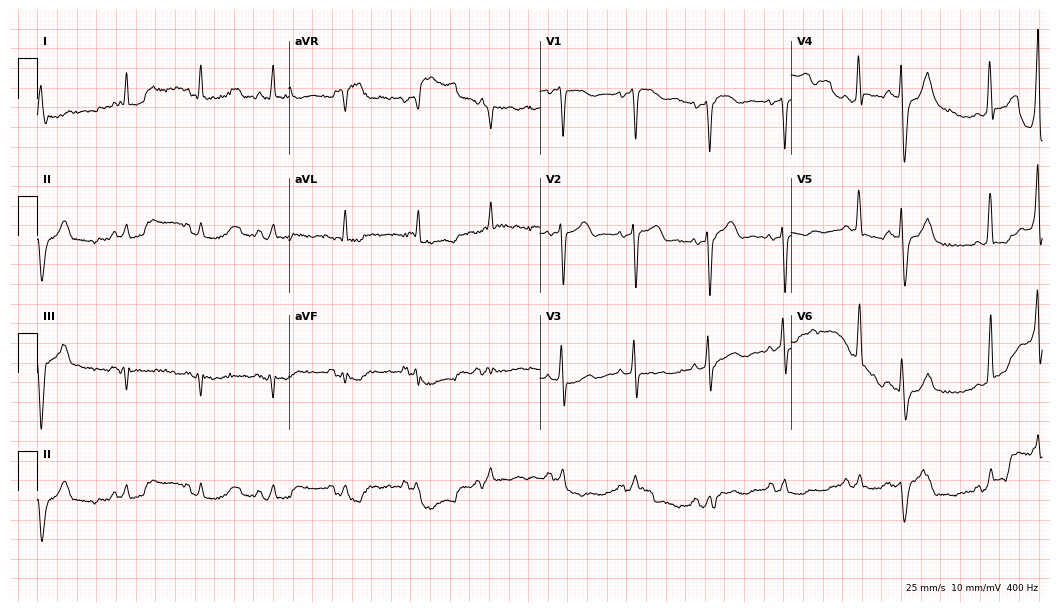
Standard 12-lead ECG recorded from a 67-year-old male (10.2-second recording at 400 Hz). None of these six findings is recorded: first-degree AV block, right bundle branch block, left bundle branch block, sinus bradycardia, atrial fibrillation, sinus tachycardia. Only these six findings were labelled.